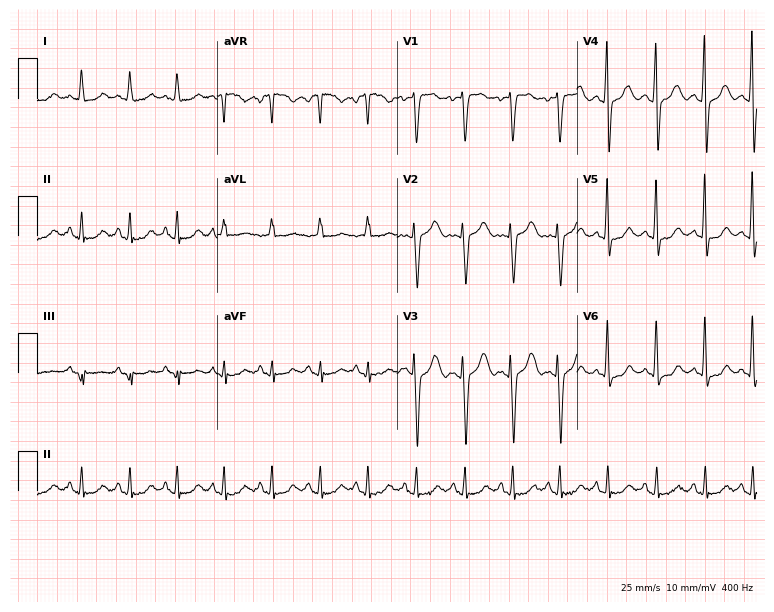
12-lead ECG from a 59-year-old female. Shows sinus tachycardia (a sinus rate of 100 beats per minute or more).